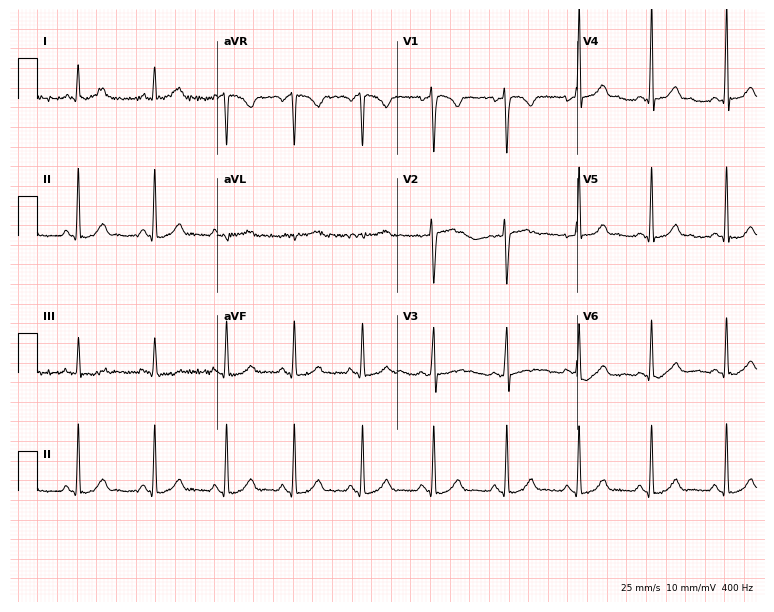
12-lead ECG from a 34-year-old woman (7.3-second recording at 400 Hz). Recorded interpretation: within normal limits.